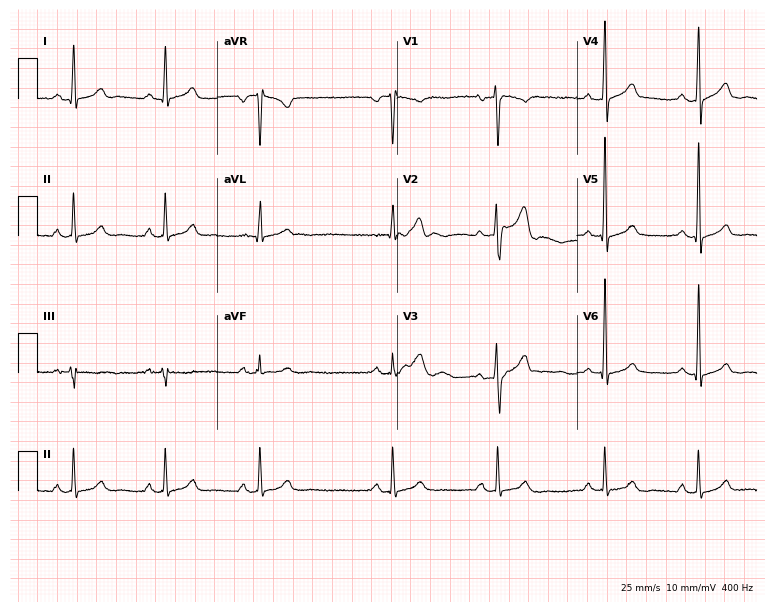
ECG — a male patient, 32 years old. Labelled as a normal ECG.